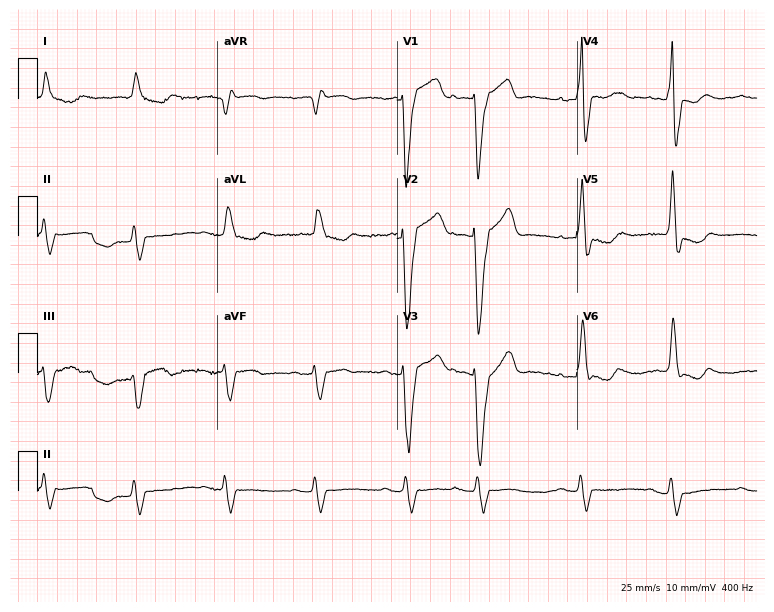
Standard 12-lead ECG recorded from an 80-year-old female. The tracing shows left bundle branch block (LBBB).